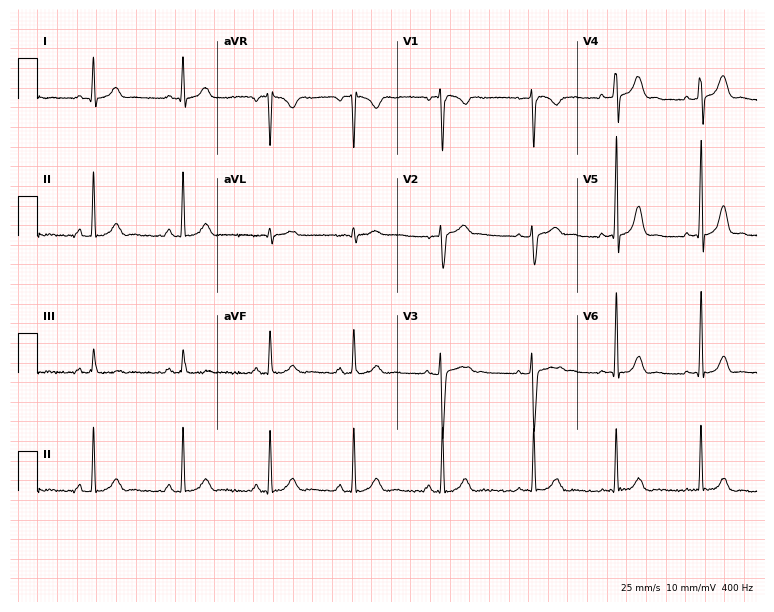
Electrocardiogram, a female, 24 years old. Overall reading on record: normal ECG.